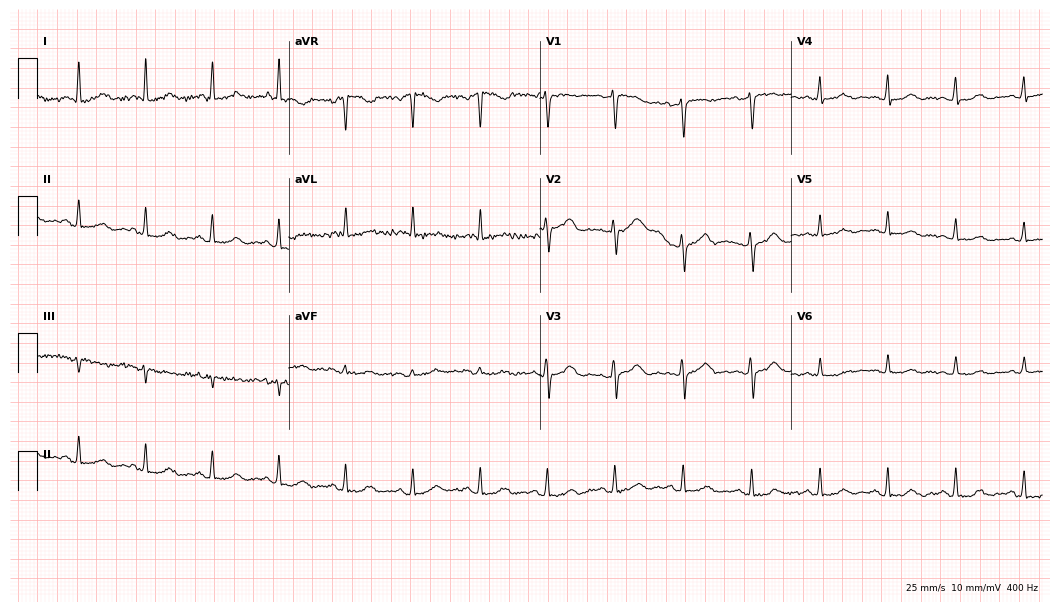
12-lead ECG from a female patient, 65 years old. Recorded interpretation: within normal limits.